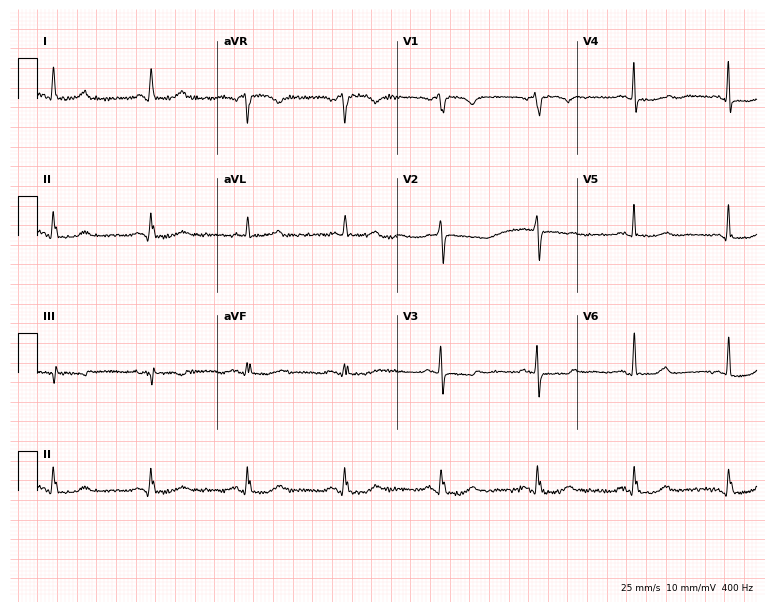
Electrocardiogram (7.3-second recording at 400 Hz), a 73-year-old female patient. Of the six screened findings (first-degree AV block, right bundle branch block, left bundle branch block, sinus bradycardia, atrial fibrillation, sinus tachycardia), none is recorded.